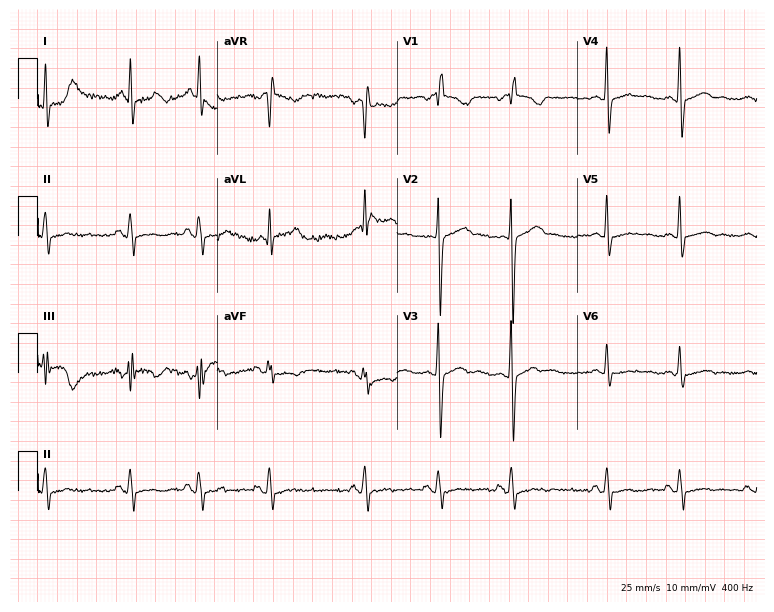
12-lead ECG from a 20-year-old woman. Screened for six findings — first-degree AV block, right bundle branch block, left bundle branch block, sinus bradycardia, atrial fibrillation, sinus tachycardia — none is recorded. Other findings, if any, are not listed.